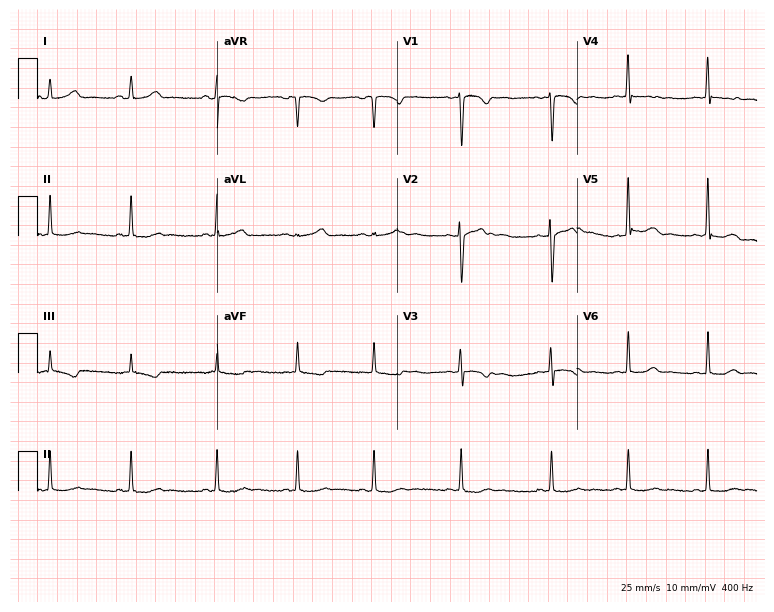
Standard 12-lead ECG recorded from a woman, 18 years old. None of these six findings is recorded: first-degree AV block, right bundle branch block (RBBB), left bundle branch block (LBBB), sinus bradycardia, atrial fibrillation (AF), sinus tachycardia. Only these six findings were labelled.